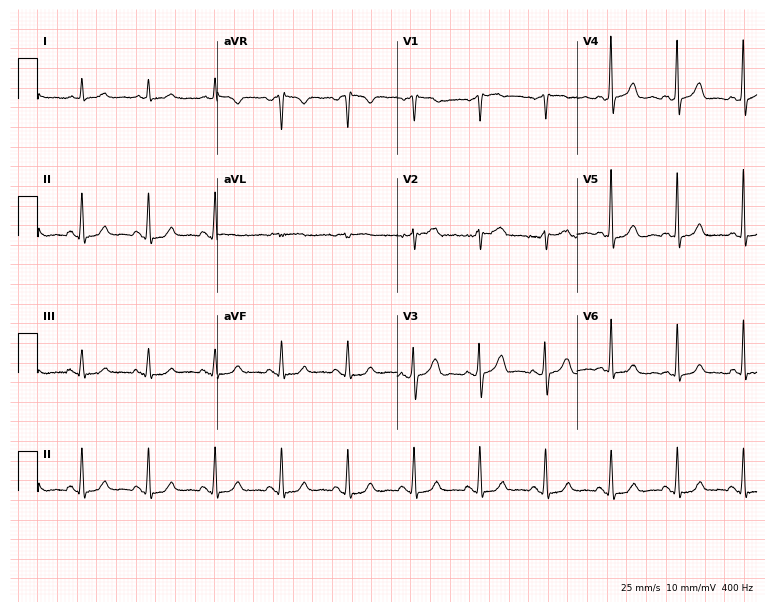
ECG (7.3-second recording at 400 Hz) — an 85-year-old male patient. Labelled as a normal ECG.